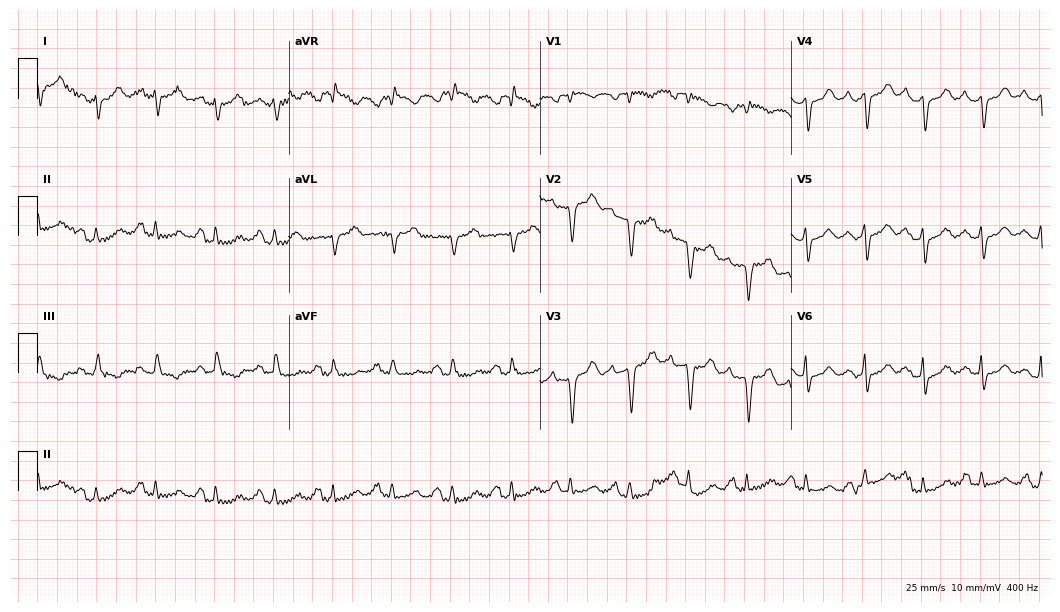
Standard 12-lead ECG recorded from a 44-year-old female (10.2-second recording at 400 Hz). None of these six findings is recorded: first-degree AV block, right bundle branch block, left bundle branch block, sinus bradycardia, atrial fibrillation, sinus tachycardia.